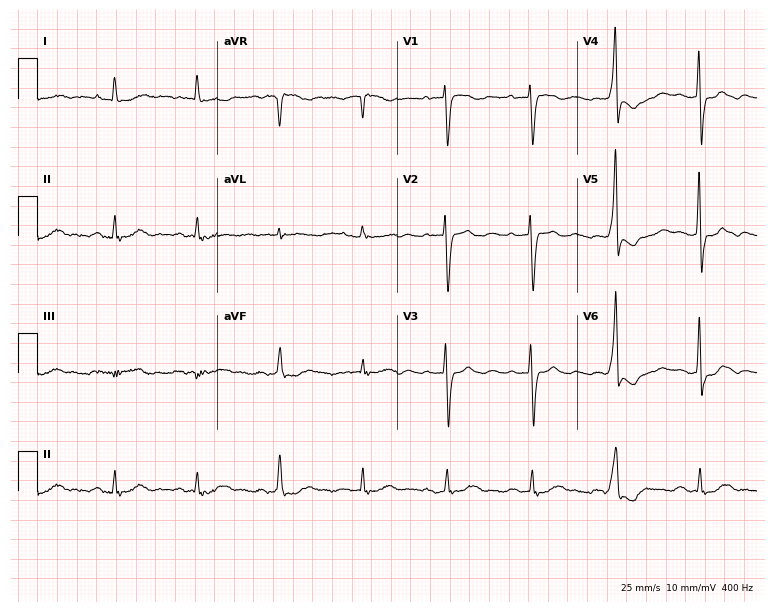
Standard 12-lead ECG recorded from a female patient, 83 years old. None of these six findings is recorded: first-degree AV block, right bundle branch block, left bundle branch block, sinus bradycardia, atrial fibrillation, sinus tachycardia.